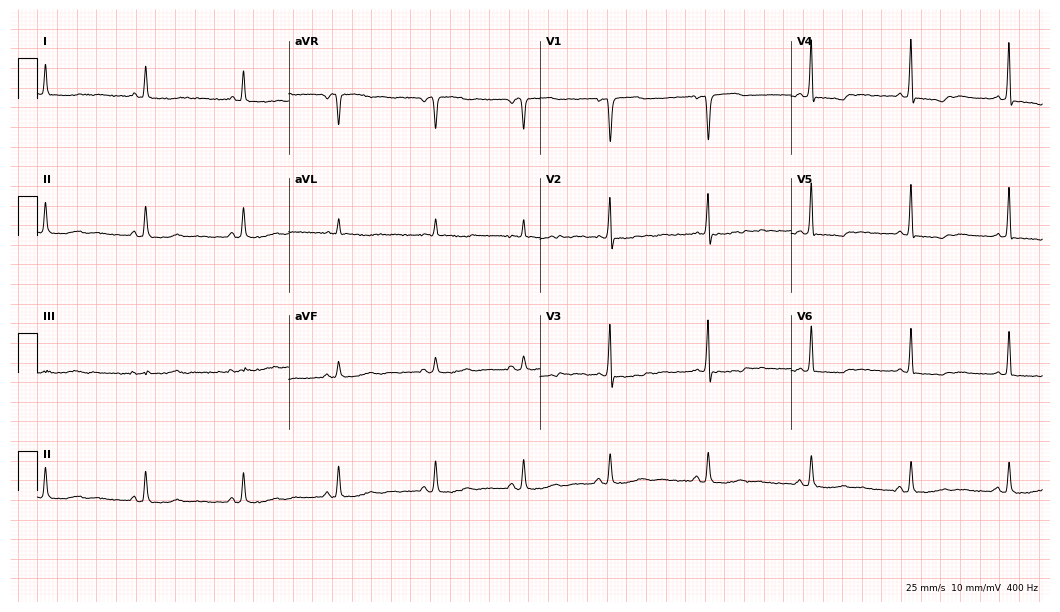
Standard 12-lead ECG recorded from a female patient, 38 years old. Read as a normal ECG.